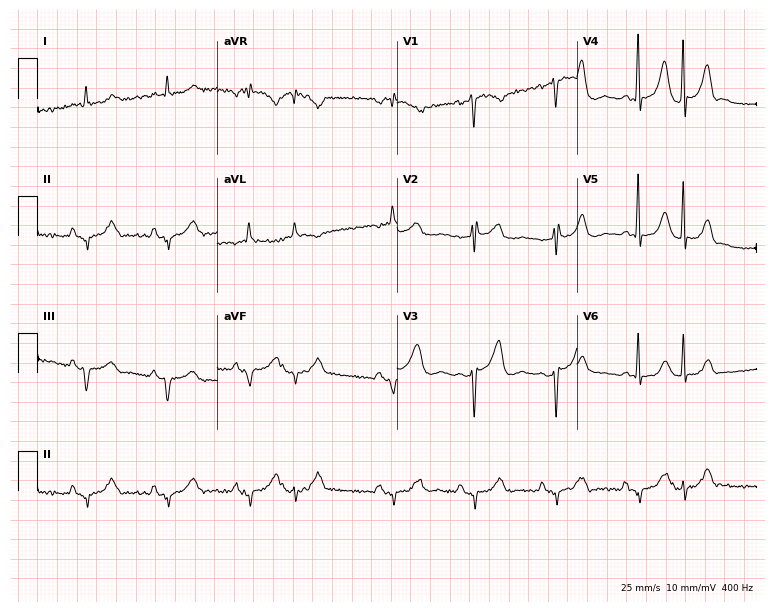
Electrocardiogram (7.3-second recording at 400 Hz), a male patient, 71 years old. Of the six screened findings (first-degree AV block, right bundle branch block, left bundle branch block, sinus bradycardia, atrial fibrillation, sinus tachycardia), none is recorded. Findings outside these six are not listed.